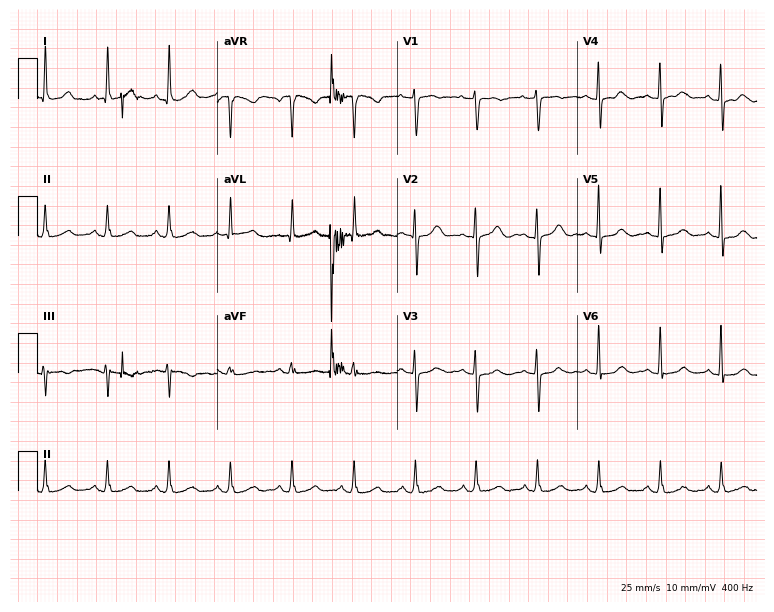
12-lead ECG from a 74-year-old woman. Recorded interpretation: within normal limits.